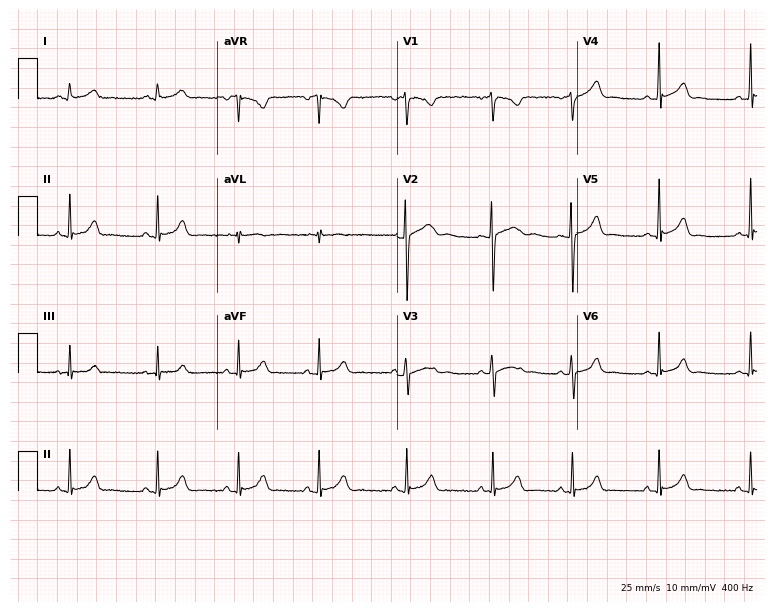
Resting 12-lead electrocardiogram. Patient: a female, 23 years old. Read as a normal ECG.